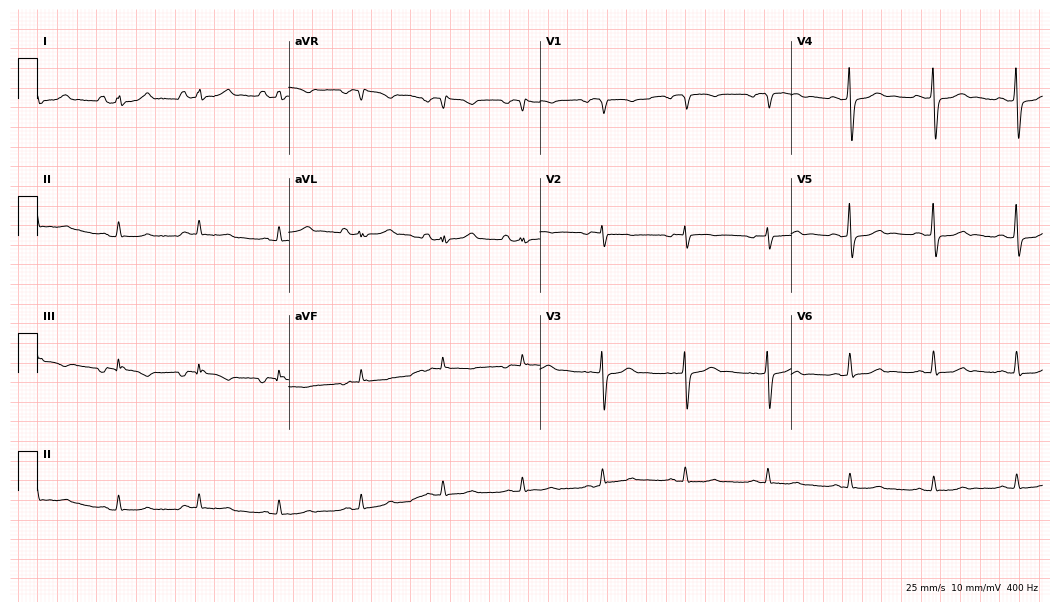
Standard 12-lead ECG recorded from a male patient, 81 years old. None of these six findings is recorded: first-degree AV block, right bundle branch block, left bundle branch block, sinus bradycardia, atrial fibrillation, sinus tachycardia.